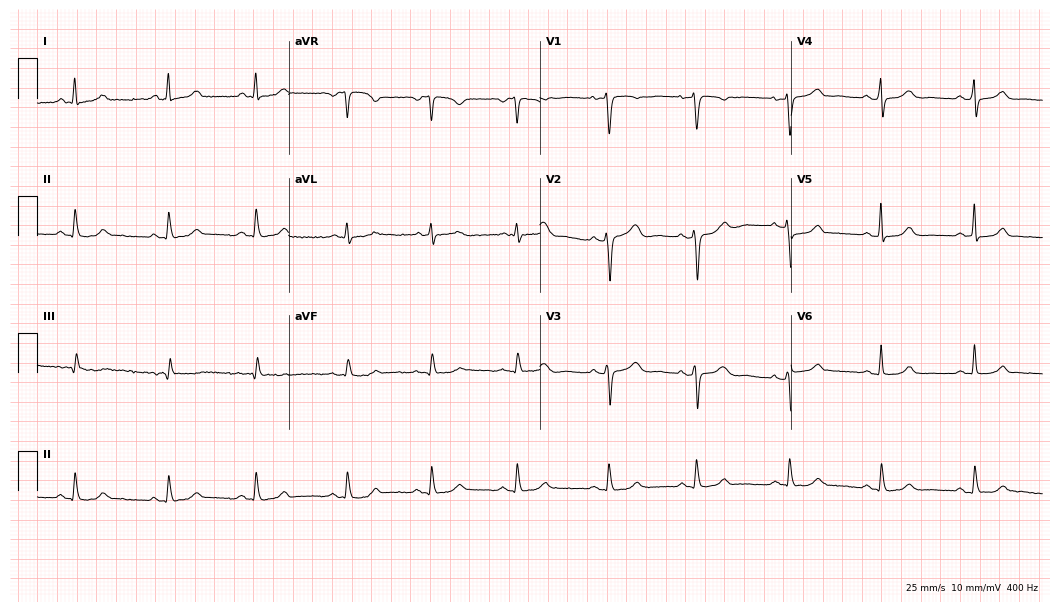
Resting 12-lead electrocardiogram. Patient: a 41-year-old female. Read as a normal ECG.